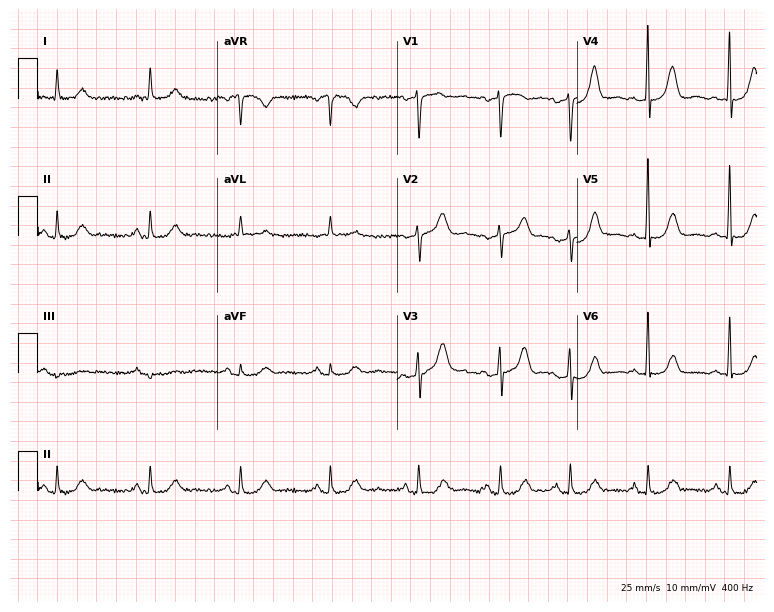
Electrocardiogram, a 76-year-old female patient. Of the six screened findings (first-degree AV block, right bundle branch block (RBBB), left bundle branch block (LBBB), sinus bradycardia, atrial fibrillation (AF), sinus tachycardia), none is recorded.